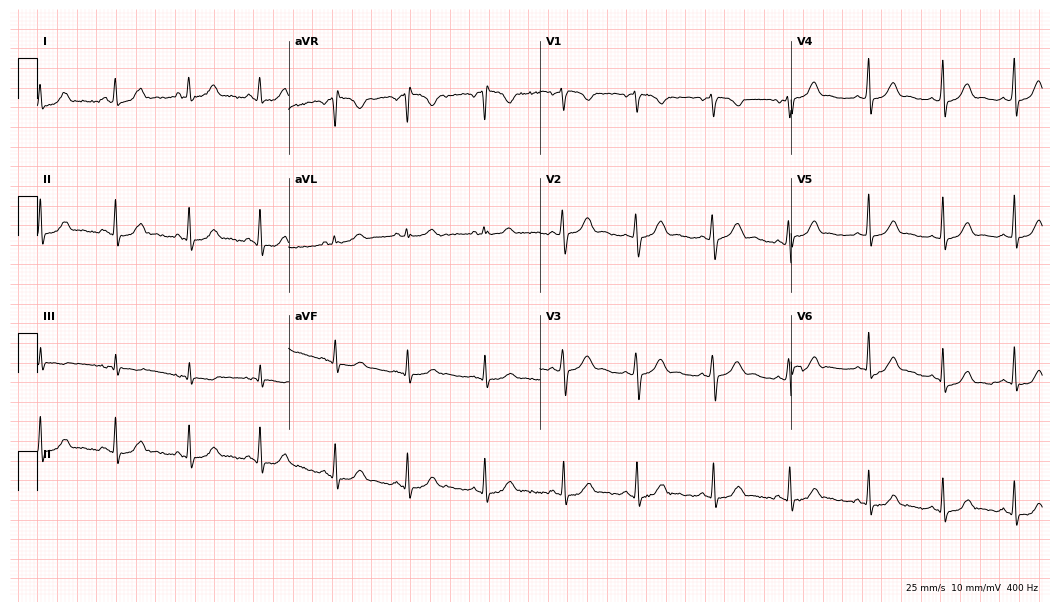
12-lead ECG from a female patient, 25 years old. Recorded interpretation: within normal limits.